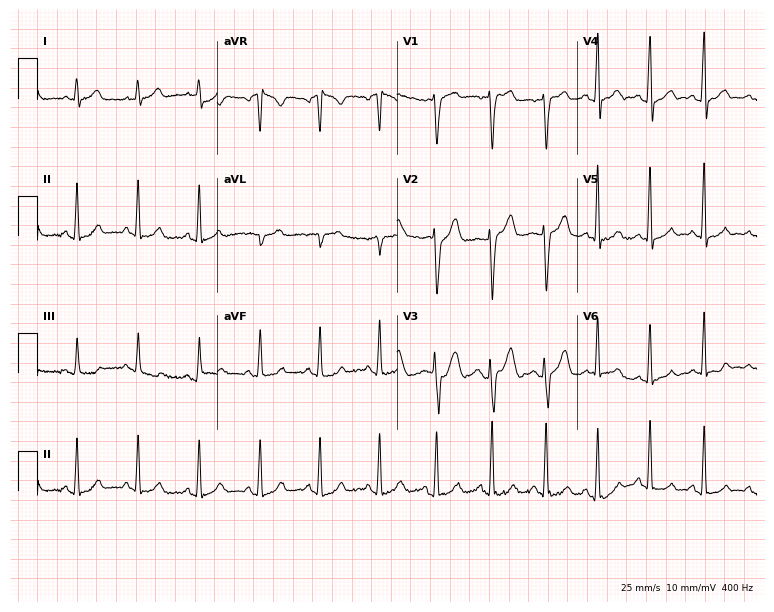
ECG — a 26-year-old female. Labelled as a normal ECG.